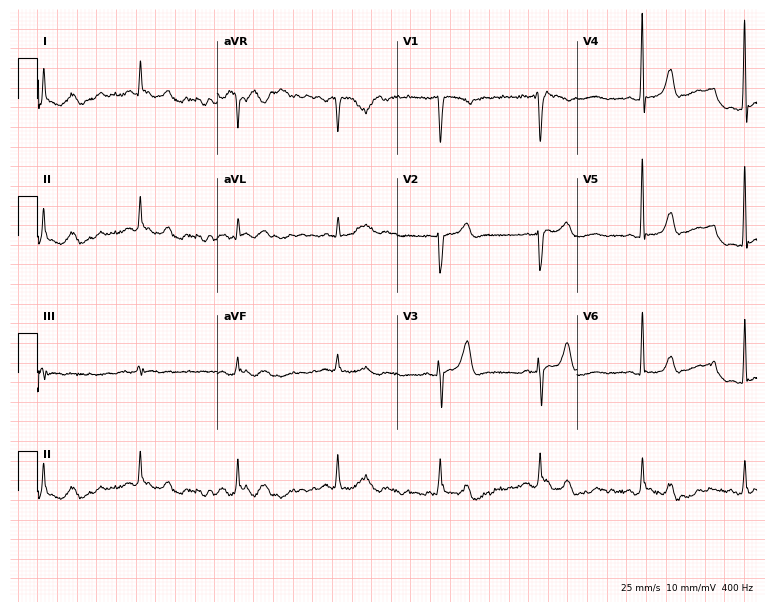
Resting 12-lead electrocardiogram (7.3-second recording at 400 Hz). Patient: a man, 79 years old. Read as a normal ECG.